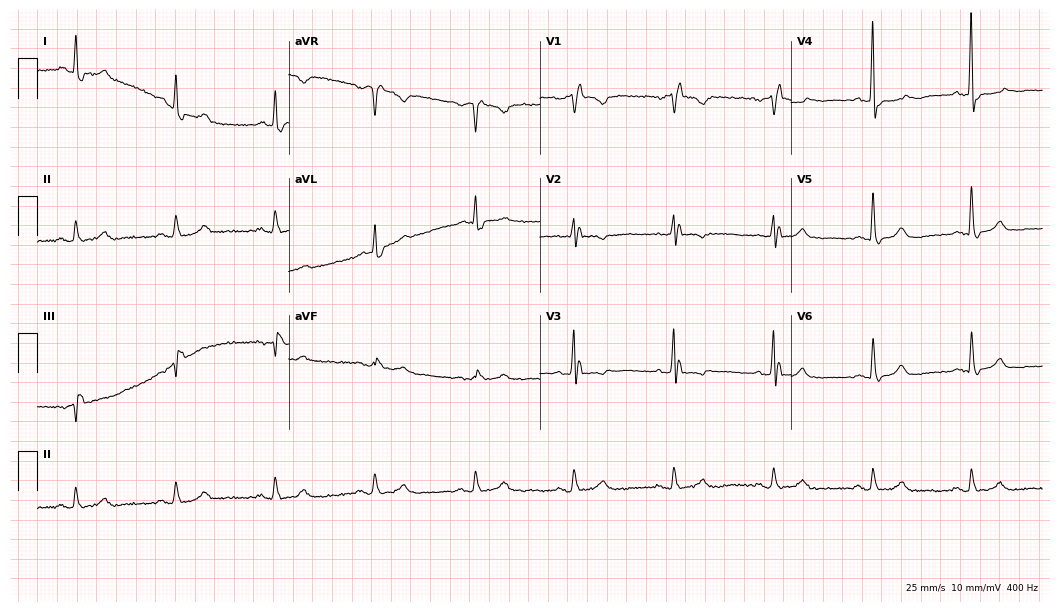
Resting 12-lead electrocardiogram. Patient: an 80-year-old female. The tracing shows right bundle branch block.